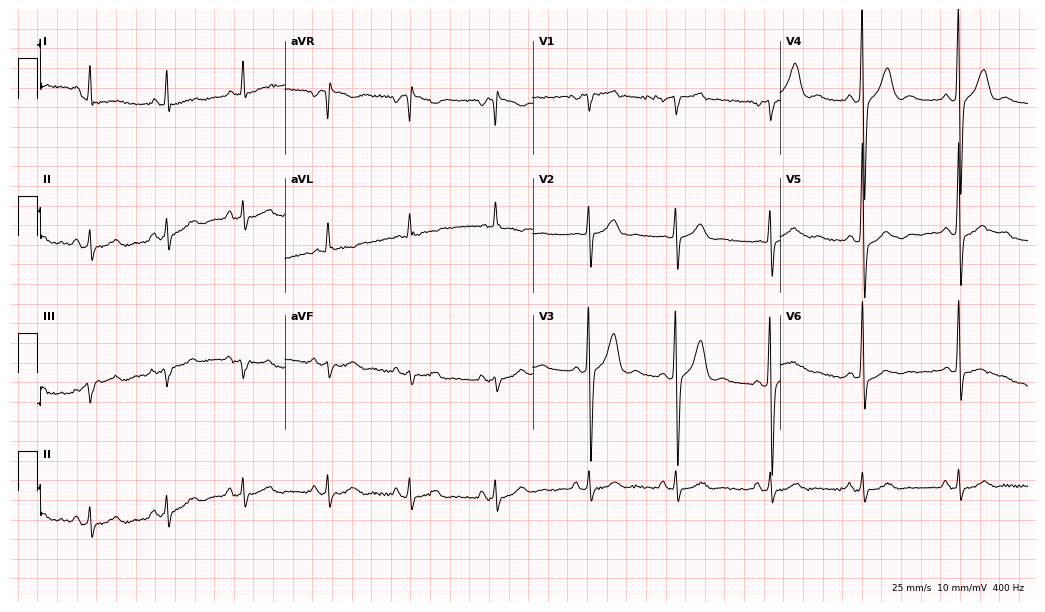
ECG (10.1-second recording at 400 Hz) — a 64-year-old male. Screened for six findings — first-degree AV block, right bundle branch block (RBBB), left bundle branch block (LBBB), sinus bradycardia, atrial fibrillation (AF), sinus tachycardia — none is recorded. Other findings, if any, are not listed.